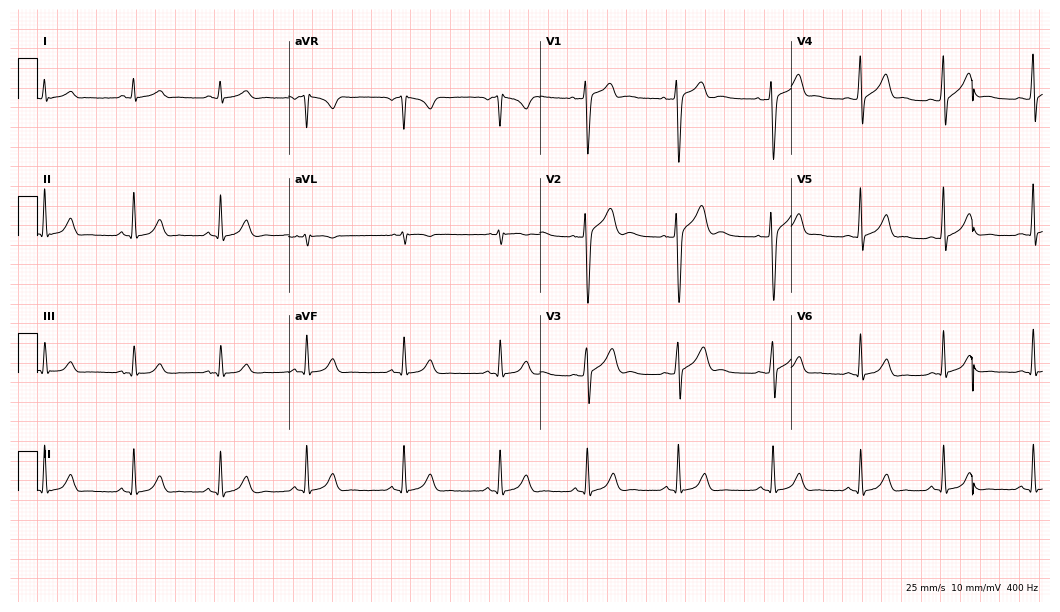
Standard 12-lead ECG recorded from a male patient, 22 years old (10.2-second recording at 400 Hz). Read as a normal ECG.